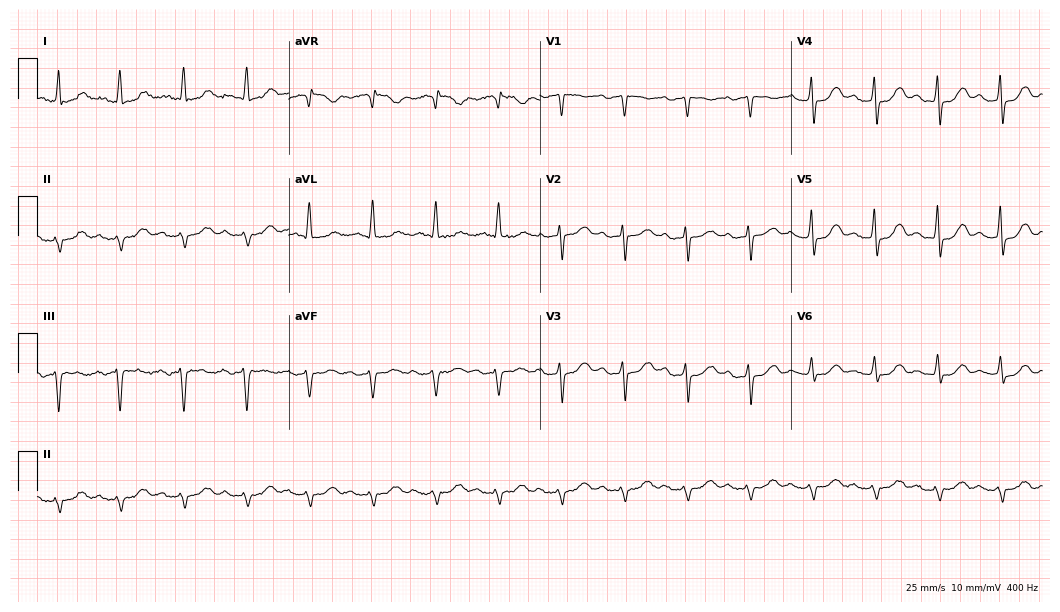
Standard 12-lead ECG recorded from an 81-year-old man (10.2-second recording at 400 Hz). None of these six findings is recorded: first-degree AV block, right bundle branch block, left bundle branch block, sinus bradycardia, atrial fibrillation, sinus tachycardia.